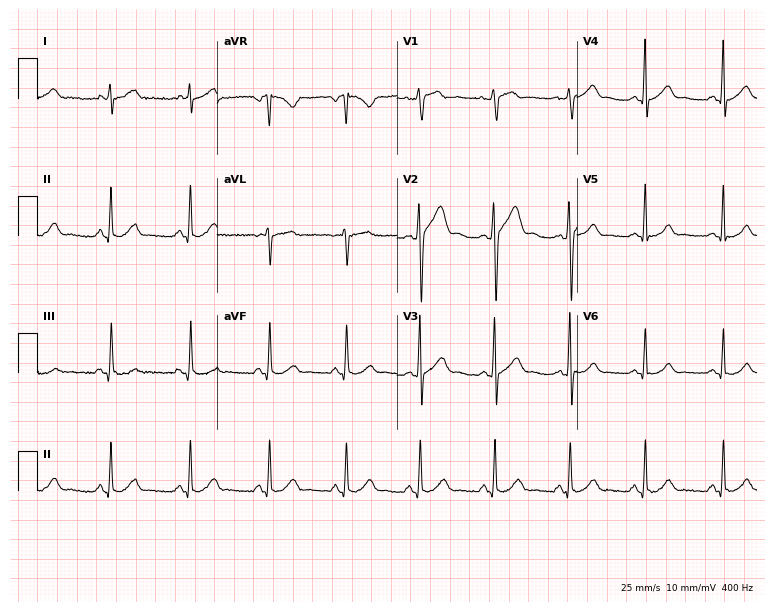
Resting 12-lead electrocardiogram. Patient: a male, 25 years old. Read as a normal ECG.